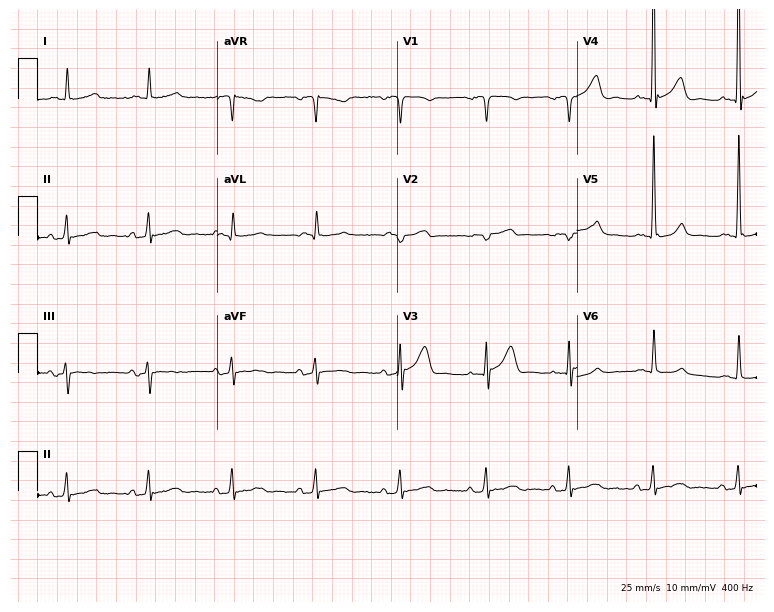
Standard 12-lead ECG recorded from an 81-year-old man. None of these six findings is recorded: first-degree AV block, right bundle branch block, left bundle branch block, sinus bradycardia, atrial fibrillation, sinus tachycardia.